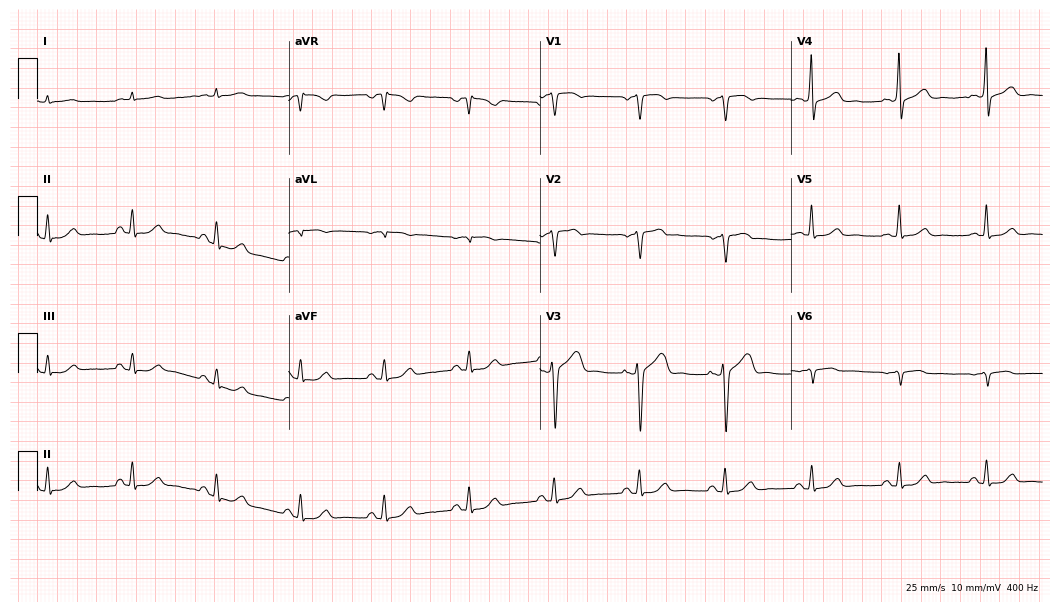
12-lead ECG from a 63-year-old man. Recorded interpretation: within normal limits.